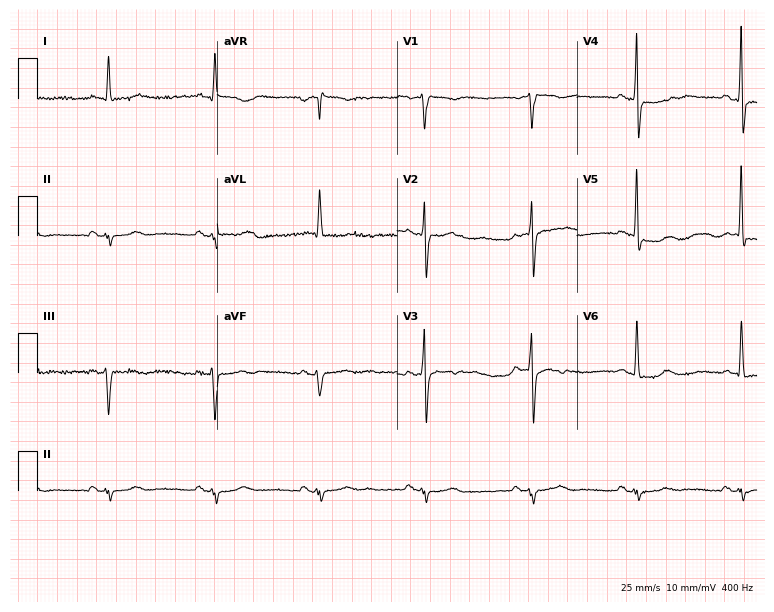
12-lead ECG from an 84-year-old man. Screened for six findings — first-degree AV block, right bundle branch block, left bundle branch block, sinus bradycardia, atrial fibrillation, sinus tachycardia — none is recorded. Findings outside these six are not listed.